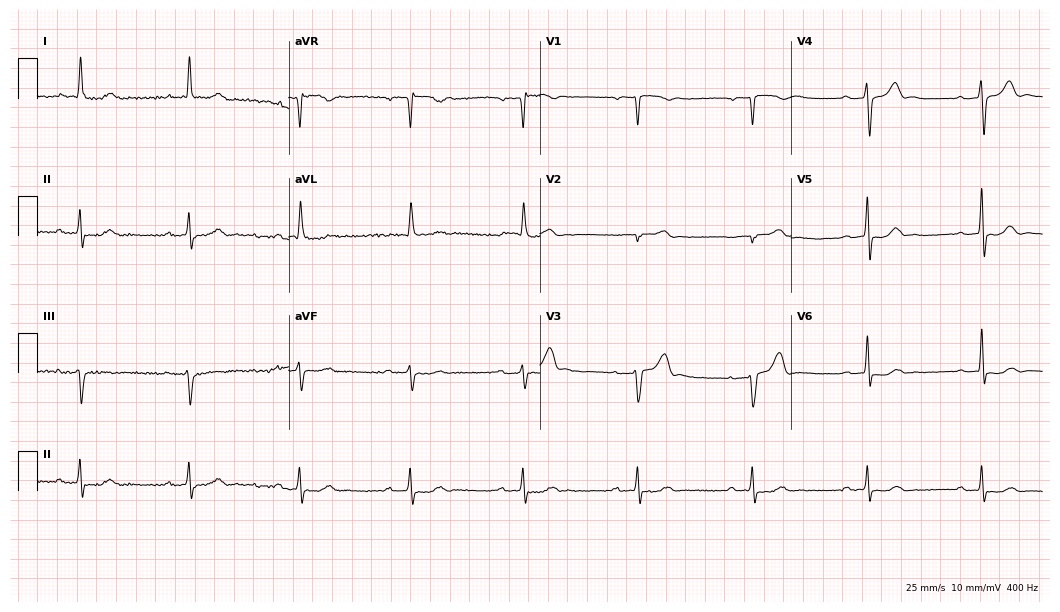
Standard 12-lead ECG recorded from a man, 68 years old (10.2-second recording at 400 Hz). None of these six findings is recorded: first-degree AV block, right bundle branch block, left bundle branch block, sinus bradycardia, atrial fibrillation, sinus tachycardia. Findings outside these six are not listed.